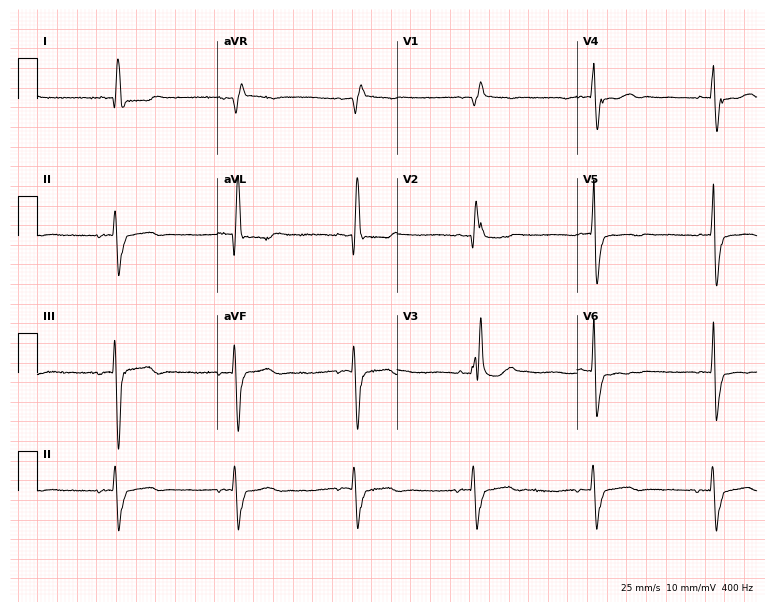
12-lead ECG from a female patient, 85 years old. Findings include sinus bradycardia (a sinus rate of 50 beats per minute or less).